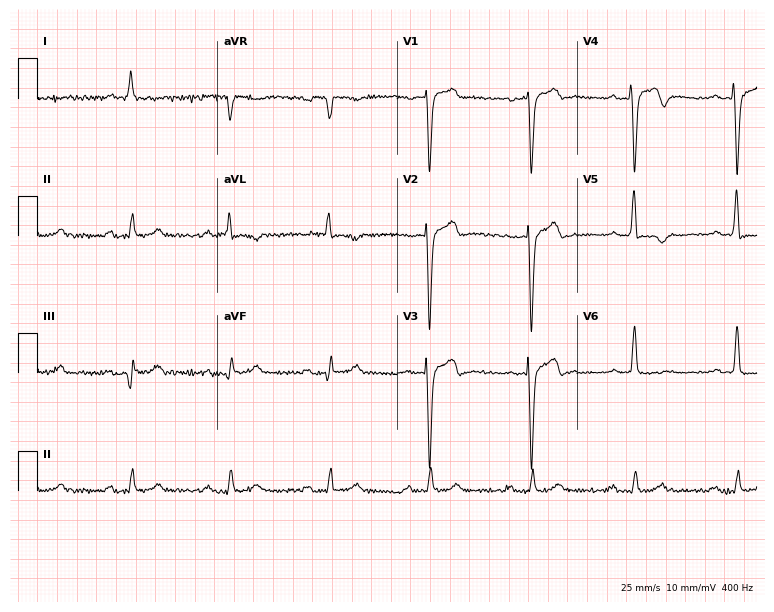
12-lead ECG from a 74-year-old man. Shows first-degree AV block.